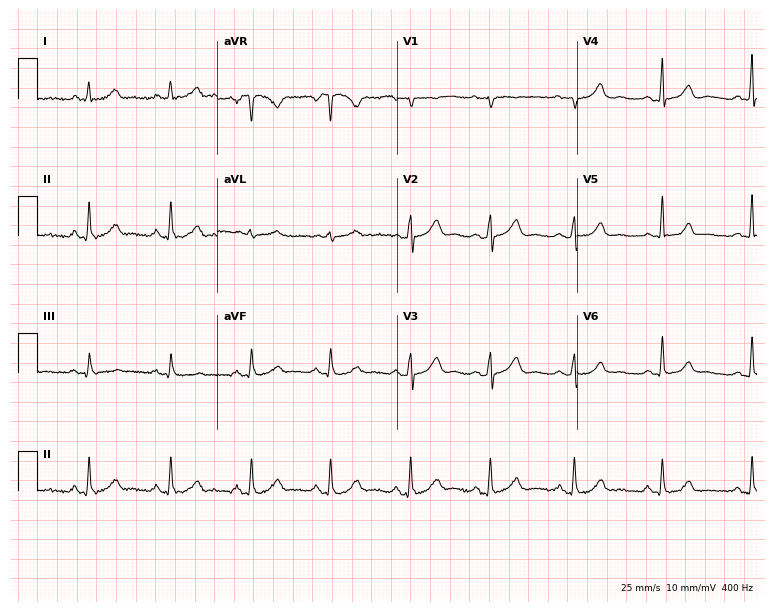
Resting 12-lead electrocardiogram. Patient: a 37-year-old female. Read as a normal ECG.